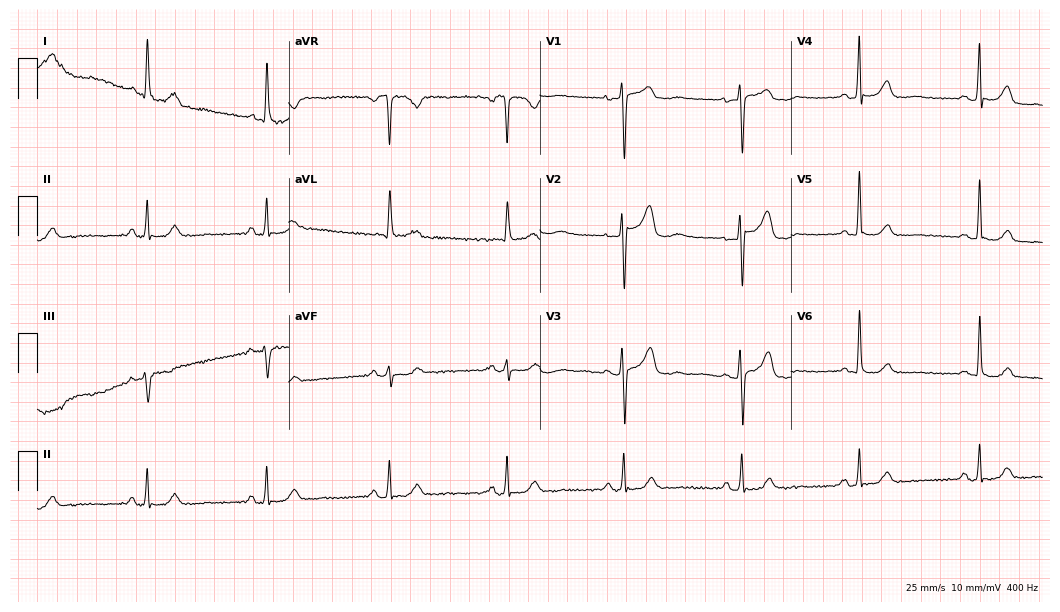
Standard 12-lead ECG recorded from a 71-year-old woman (10.2-second recording at 400 Hz). None of these six findings is recorded: first-degree AV block, right bundle branch block, left bundle branch block, sinus bradycardia, atrial fibrillation, sinus tachycardia. Other findings, if any, are not listed.